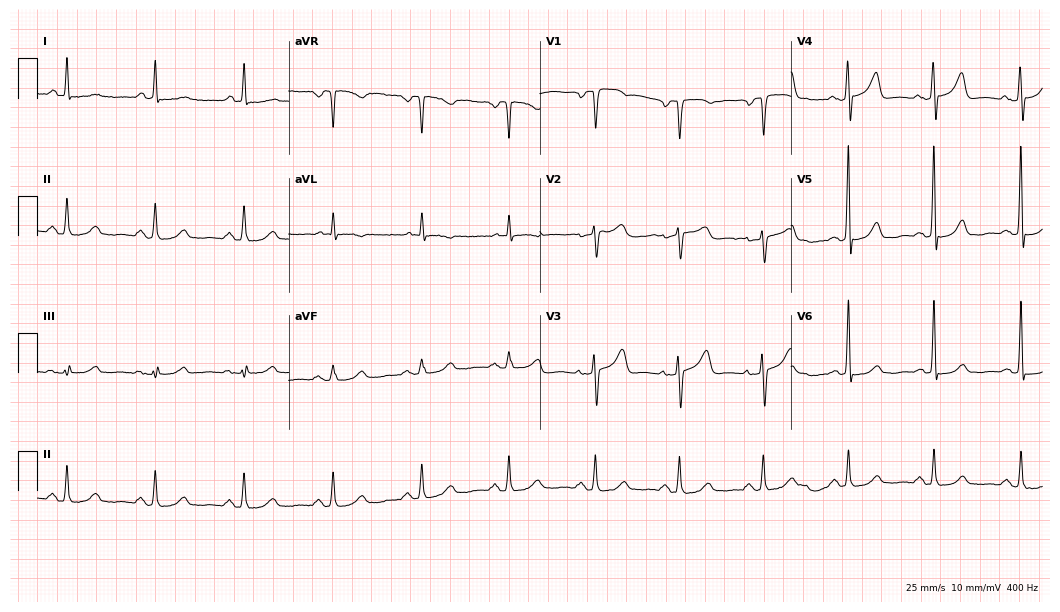
12-lead ECG from a 68-year-old female patient (10.2-second recording at 400 Hz). Recorded interpretation: within normal limits.